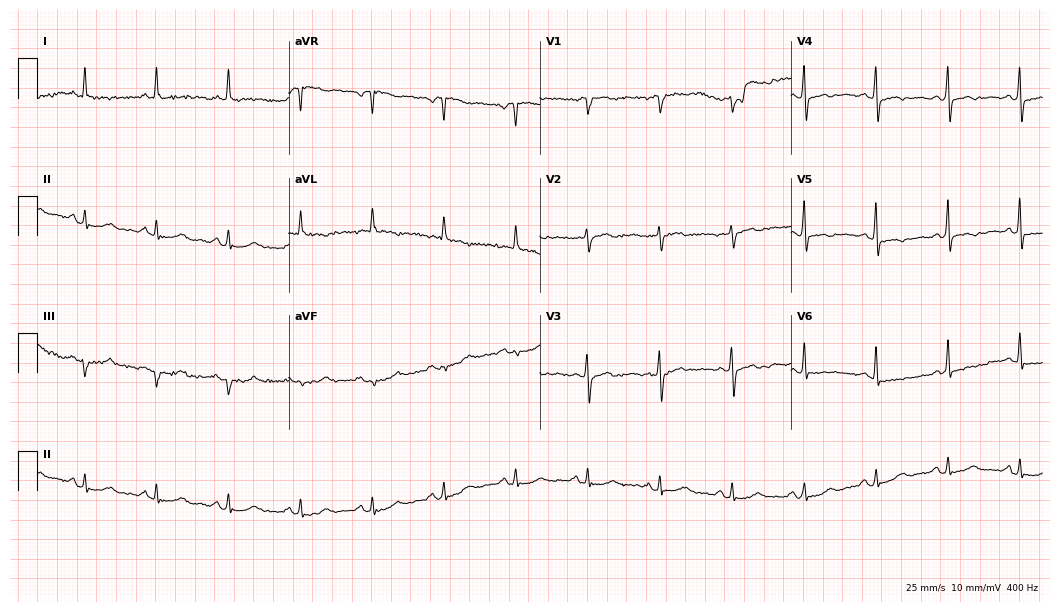
ECG — a 77-year-old female patient. Labelled as a normal ECG.